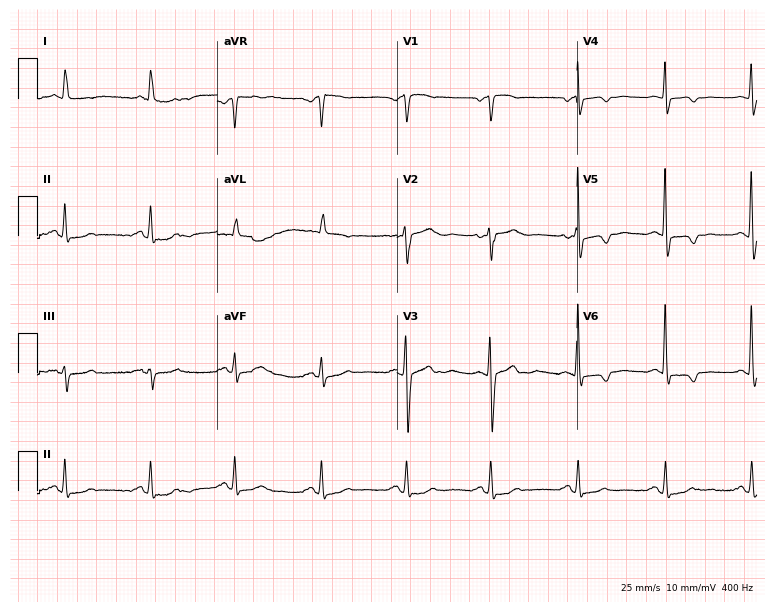
Electrocardiogram, an 84-year-old female. Of the six screened findings (first-degree AV block, right bundle branch block, left bundle branch block, sinus bradycardia, atrial fibrillation, sinus tachycardia), none is recorded.